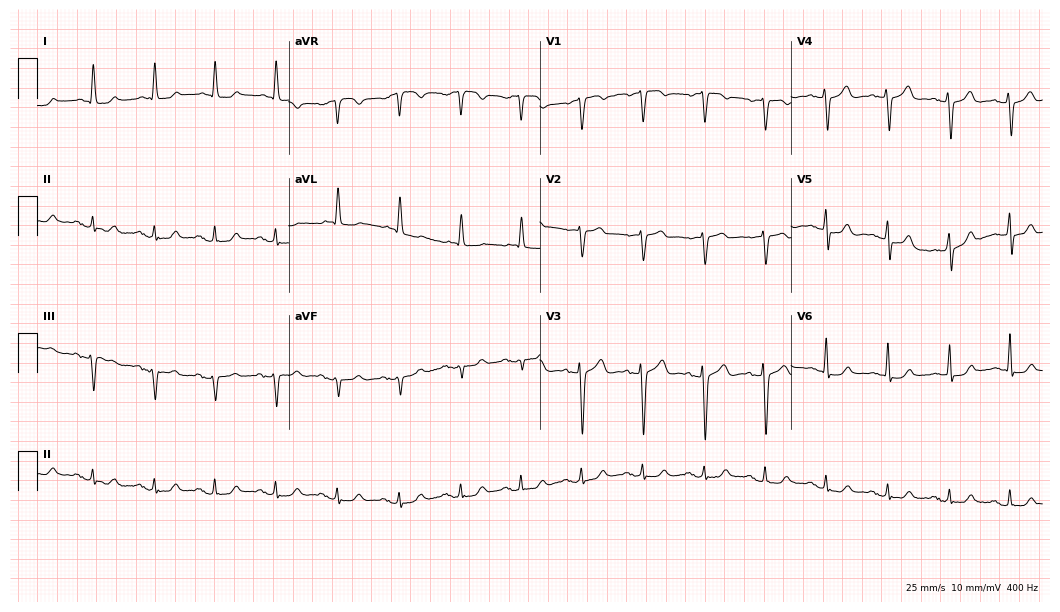
ECG (10.2-second recording at 400 Hz) — a 77-year-old female patient. Labelled as a normal ECG.